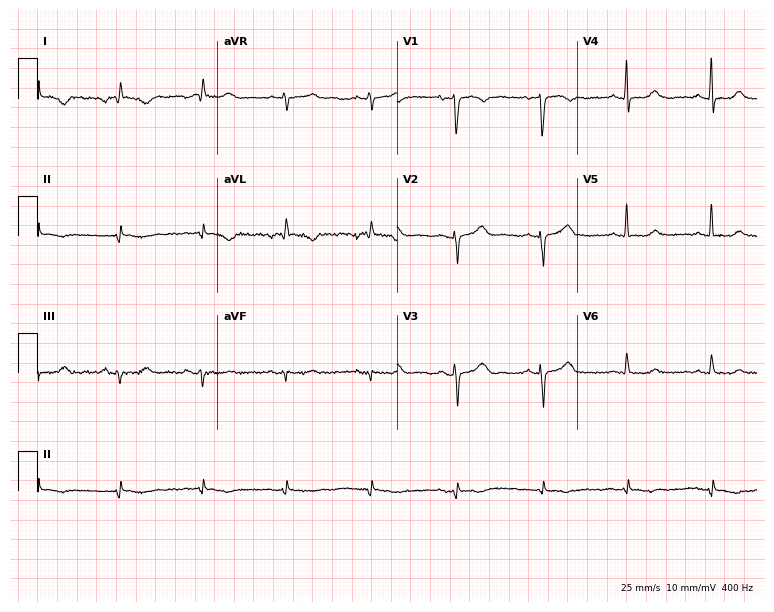
Standard 12-lead ECG recorded from a 60-year-old female (7.3-second recording at 400 Hz). None of these six findings is recorded: first-degree AV block, right bundle branch block, left bundle branch block, sinus bradycardia, atrial fibrillation, sinus tachycardia.